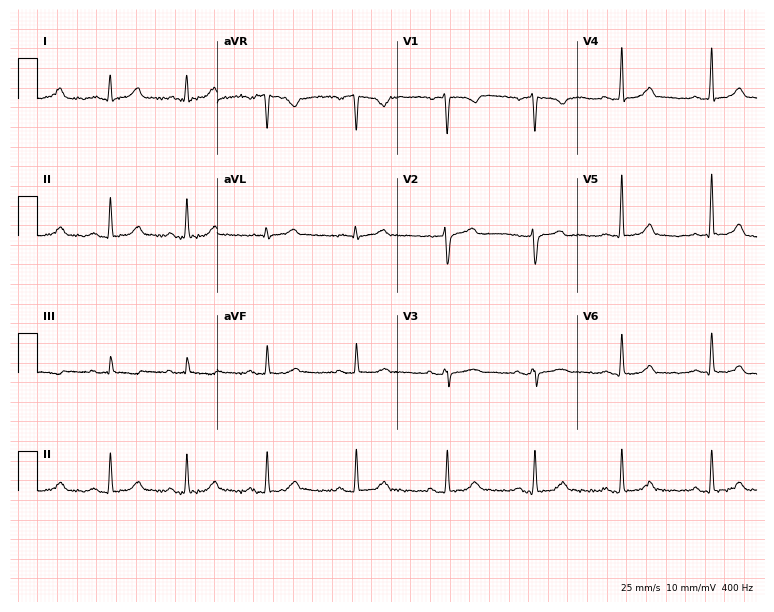
12-lead ECG from a 44-year-old female. Recorded interpretation: within normal limits.